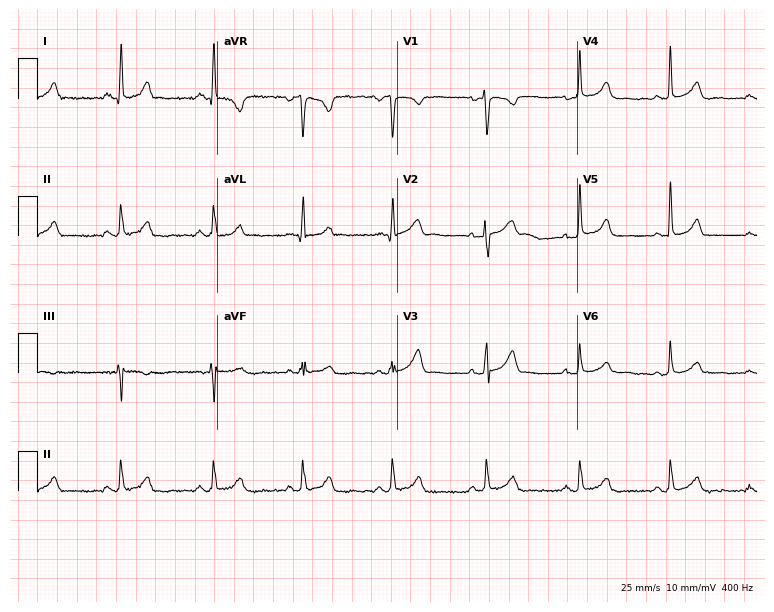
Electrocardiogram (7.3-second recording at 400 Hz), a 35-year-old female patient. Of the six screened findings (first-degree AV block, right bundle branch block, left bundle branch block, sinus bradycardia, atrial fibrillation, sinus tachycardia), none is recorded. Other findings, if any, are not listed.